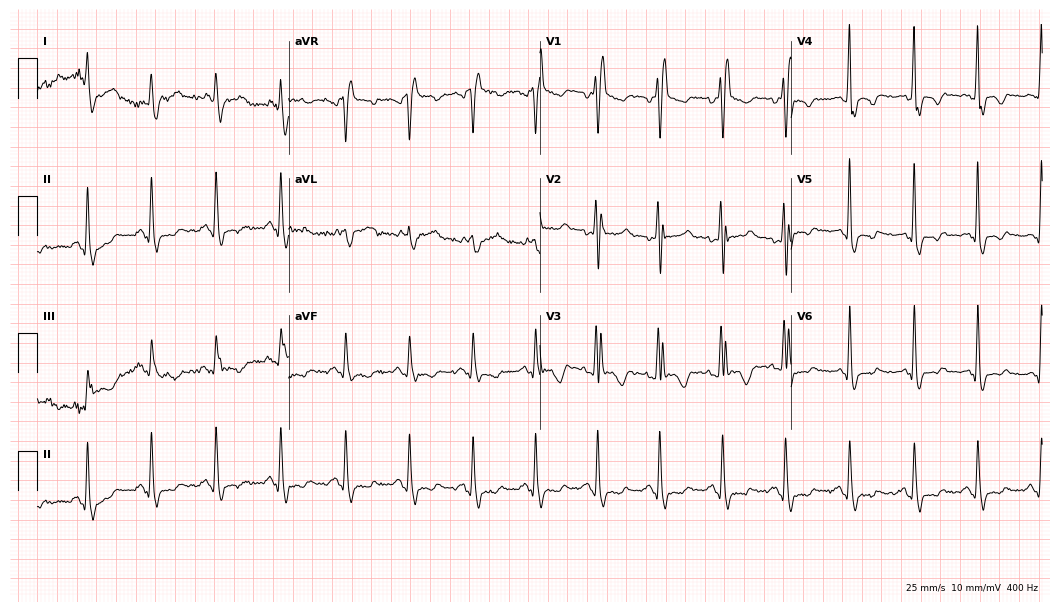
Resting 12-lead electrocardiogram (10.2-second recording at 400 Hz). Patient: a 45-year-old man. The tracing shows right bundle branch block.